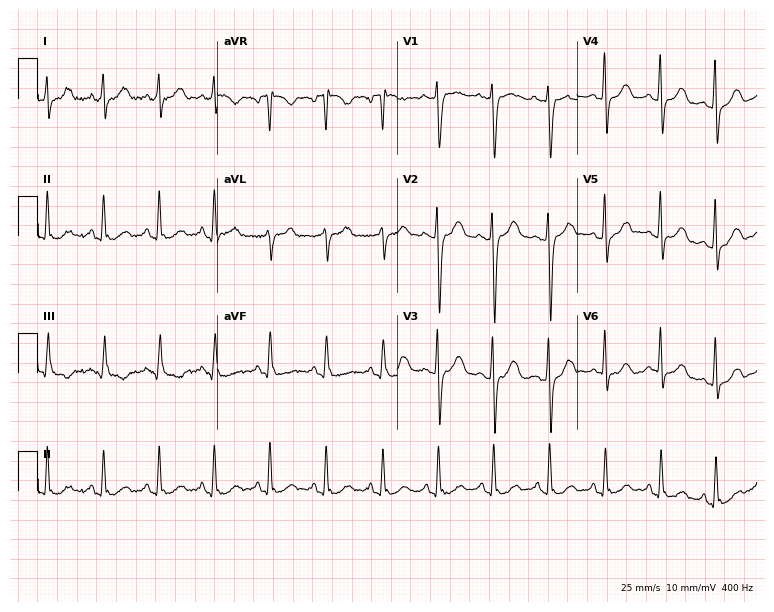
Electrocardiogram, a 20-year-old female. Interpretation includes sinus tachycardia (a sinus rate of 100 beats per minute or more).